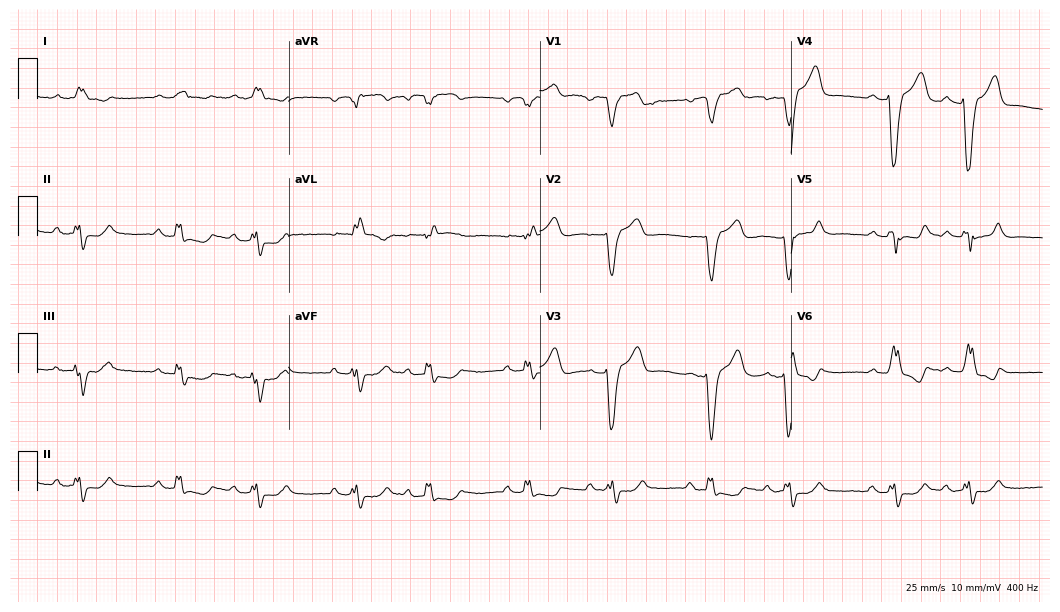
ECG (10.2-second recording at 400 Hz) — a 77-year-old male patient. Findings include left bundle branch block (LBBB).